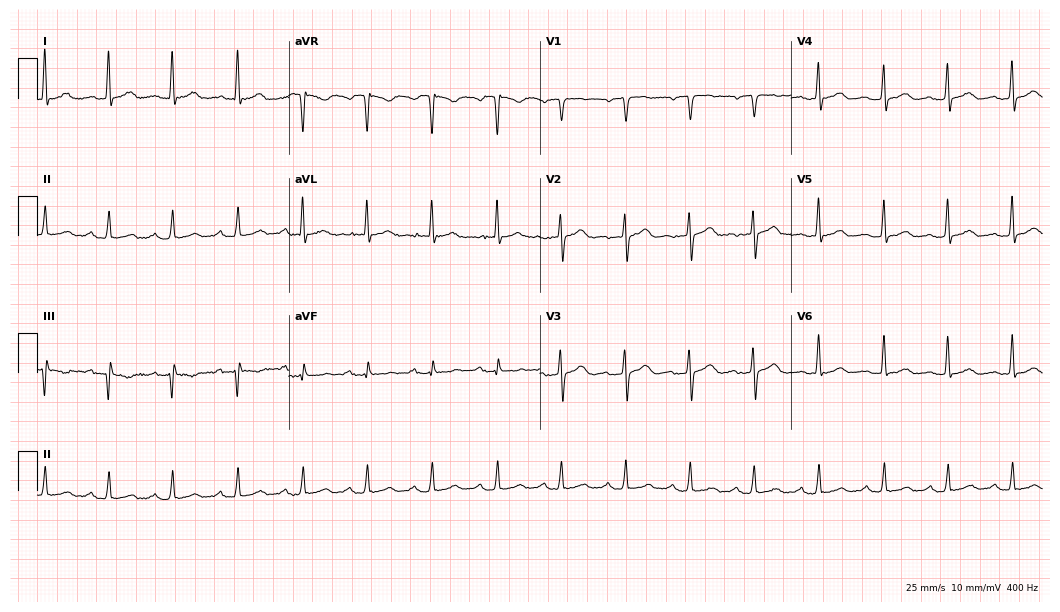
Standard 12-lead ECG recorded from a 49-year-old female patient (10.2-second recording at 400 Hz). Read as a normal ECG.